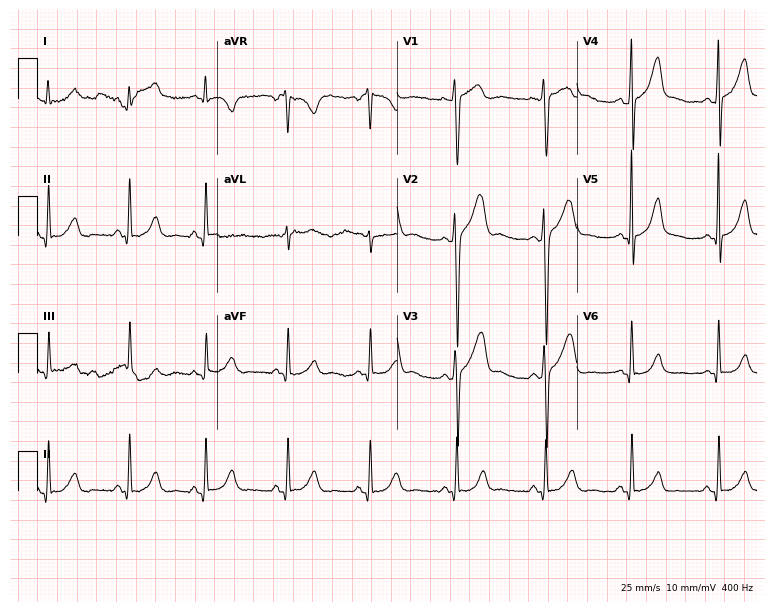
12-lead ECG from a 32-year-old male patient (7.3-second recording at 400 Hz). Recorded interpretation: within normal limits.